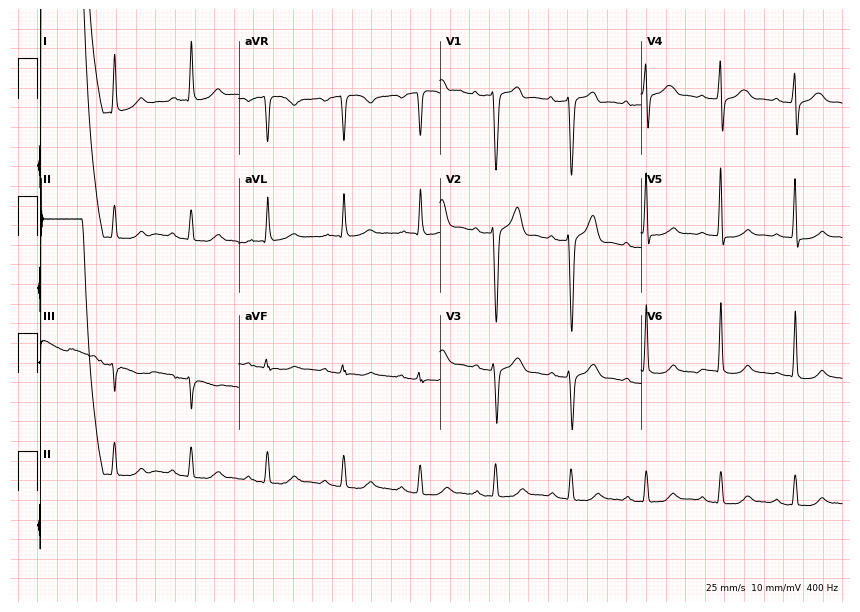
12-lead ECG from a 66-year-old male (8.2-second recording at 400 Hz). No first-degree AV block, right bundle branch block, left bundle branch block, sinus bradycardia, atrial fibrillation or sinus tachycardia recorded for this tracing.